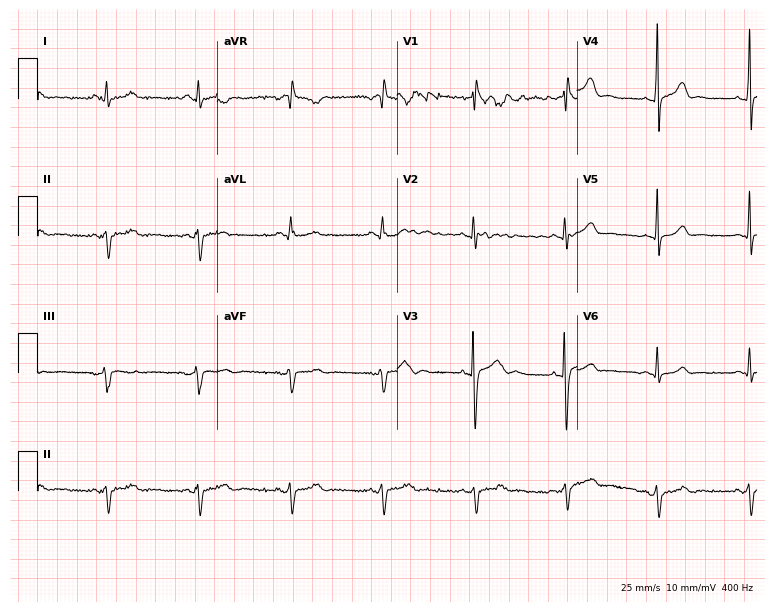
12-lead ECG from a man, 23 years old (7.3-second recording at 400 Hz). No first-degree AV block, right bundle branch block, left bundle branch block, sinus bradycardia, atrial fibrillation or sinus tachycardia recorded for this tracing. Only these six findings were labelled.